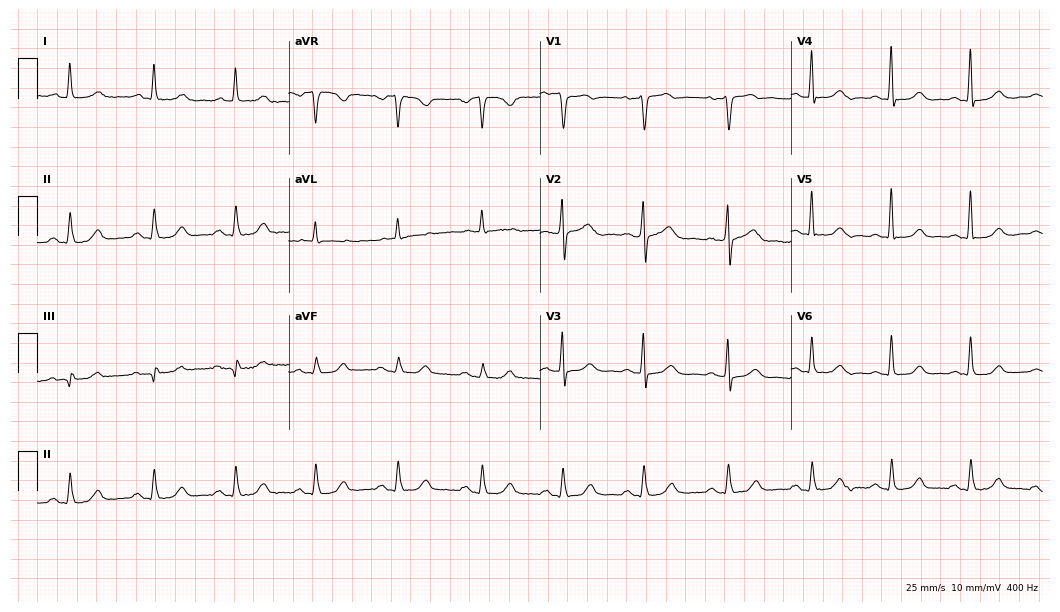
Electrocardiogram (10.2-second recording at 400 Hz), a female, 62 years old. Overall reading on record: normal ECG.